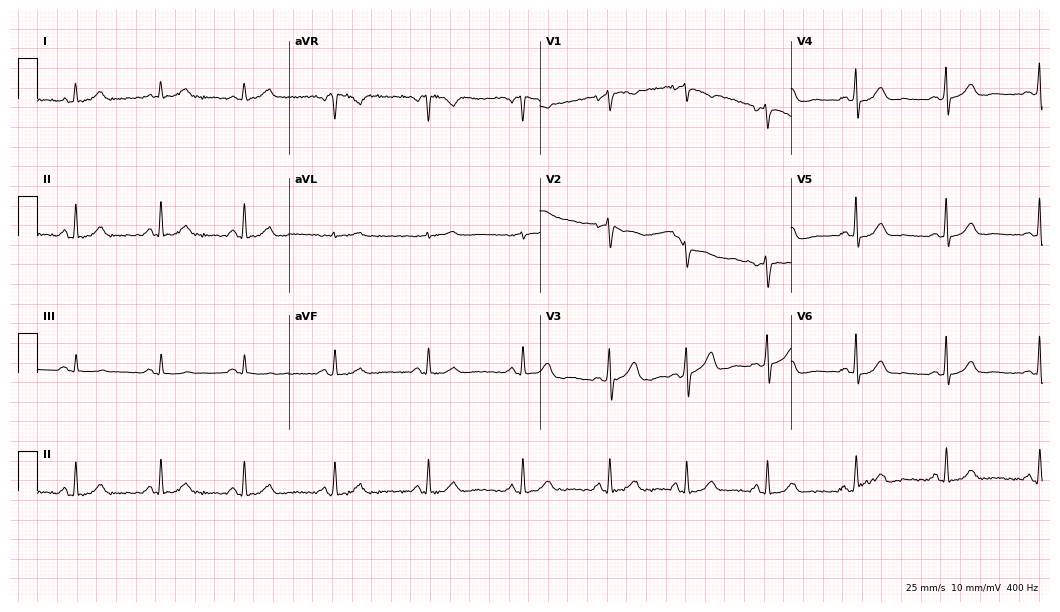
ECG — a 36-year-old female patient. Labelled as a normal ECG.